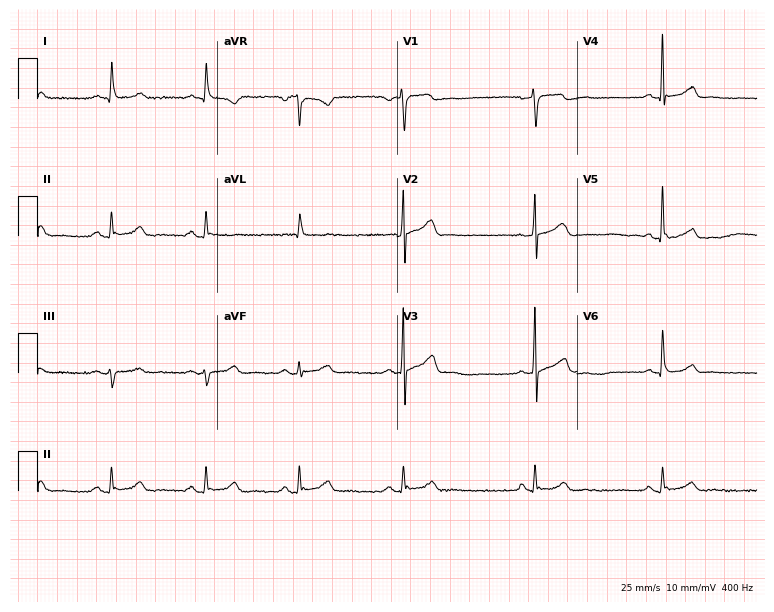
12-lead ECG from a 72-year-old male patient. Labelled as a normal ECG.